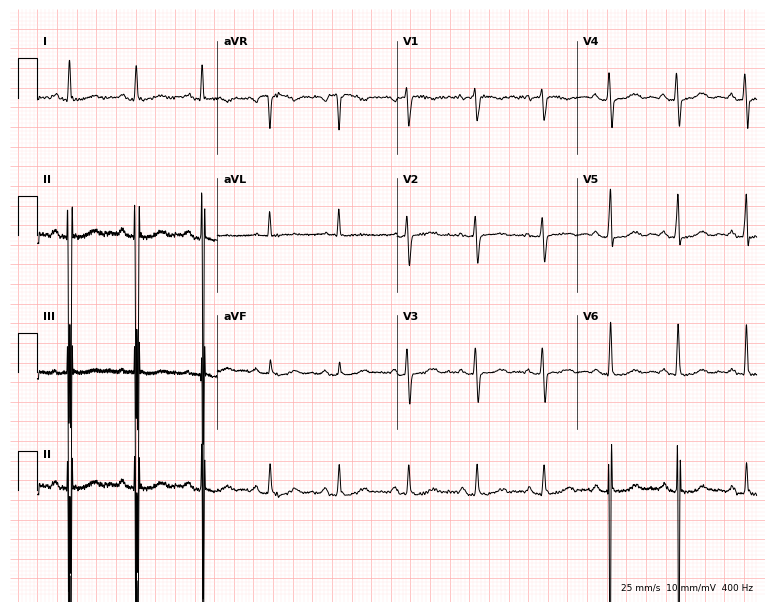
ECG (7.3-second recording at 400 Hz) — a 47-year-old female patient. Screened for six findings — first-degree AV block, right bundle branch block (RBBB), left bundle branch block (LBBB), sinus bradycardia, atrial fibrillation (AF), sinus tachycardia — none is recorded.